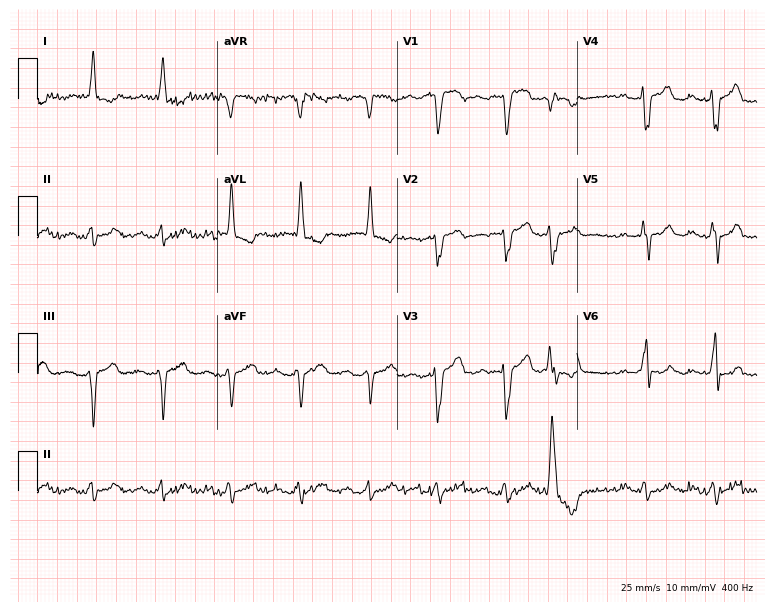
ECG — a 77-year-old man. Findings include first-degree AV block.